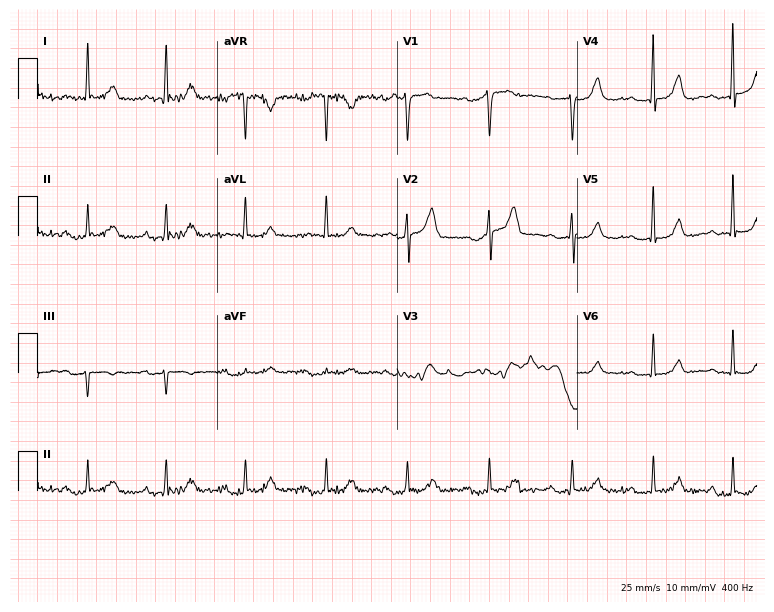
ECG (7.3-second recording at 400 Hz) — a woman, 63 years old. Labelled as a normal ECG.